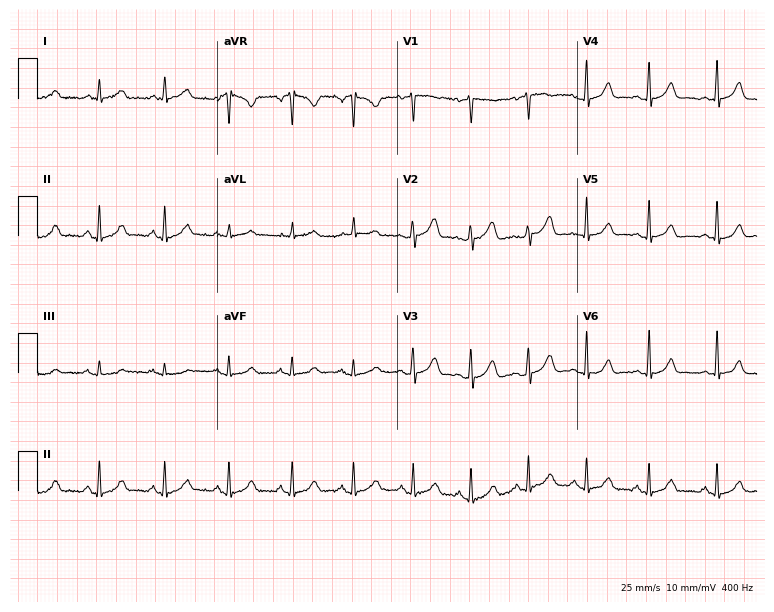
Electrocardiogram (7.3-second recording at 400 Hz), a 40-year-old female patient. Overall reading on record: normal ECG.